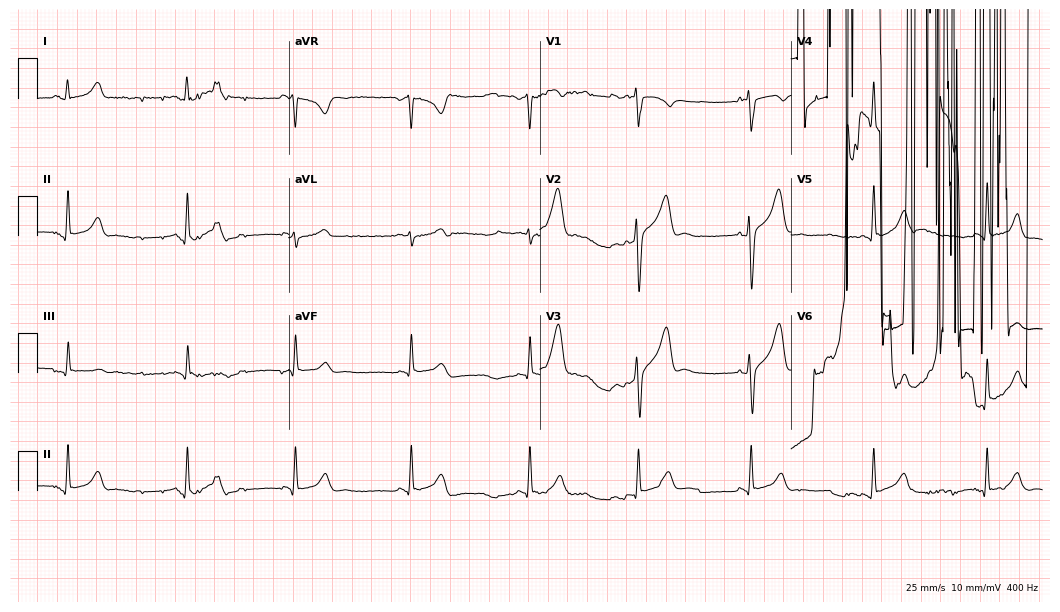
Electrocardiogram (10.2-second recording at 400 Hz), a man, 37 years old. Of the six screened findings (first-degree AV block, right bundle branch block, left bundle branch block, sinus bradycardia, atrial fibrillation, sinus tachycardia), none is recorded.